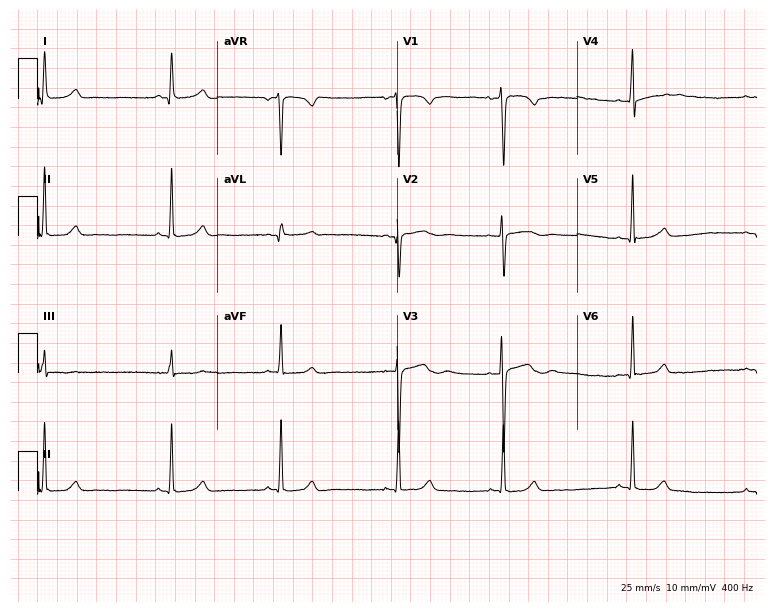
Standard 12-lead ECG recorded from a 28-year-old female patient. None of these six findings is recorded: first-degree AV block, right bundle branch block (RBBB), left bundle branch block (LBBB), sinus bradycardia, atrial fibrillation (AF), sinus tachycardia.